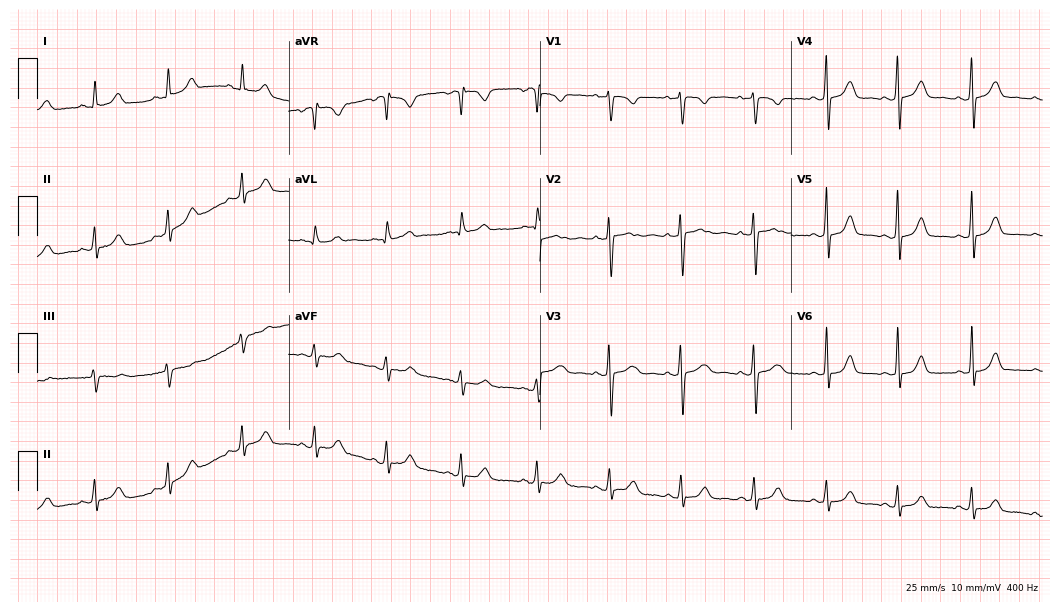
12-lead ECG (10.2-second recording at 400 Hz) from a female patient, 48 years old. Labelled as a normal ECG.